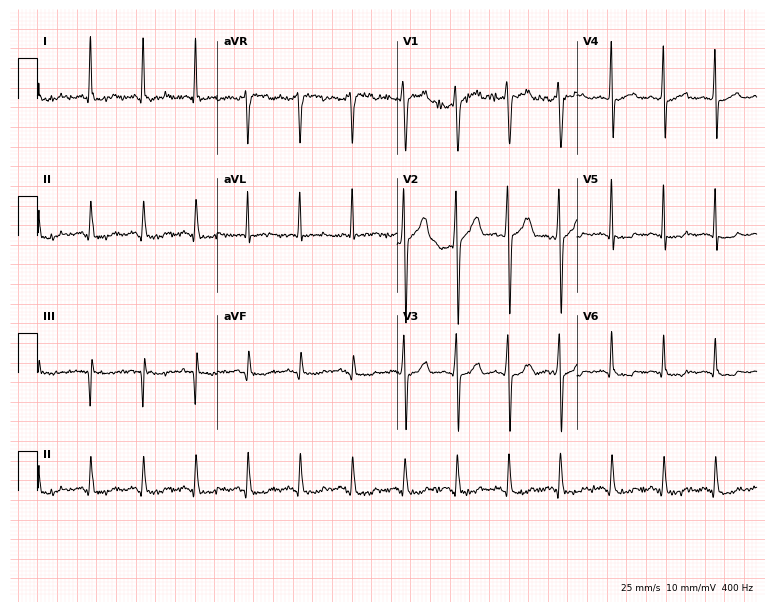
ECG (7.3-second recording at 400 Hz) — a man, 55 years old. Screened for six findings — first-degree AV block, right bundle branch block (RBBB), left bundle branch block (LBBB), sinus bradycardia, atrial fibrillation (AF), sinus tachycardia — none is recorded.